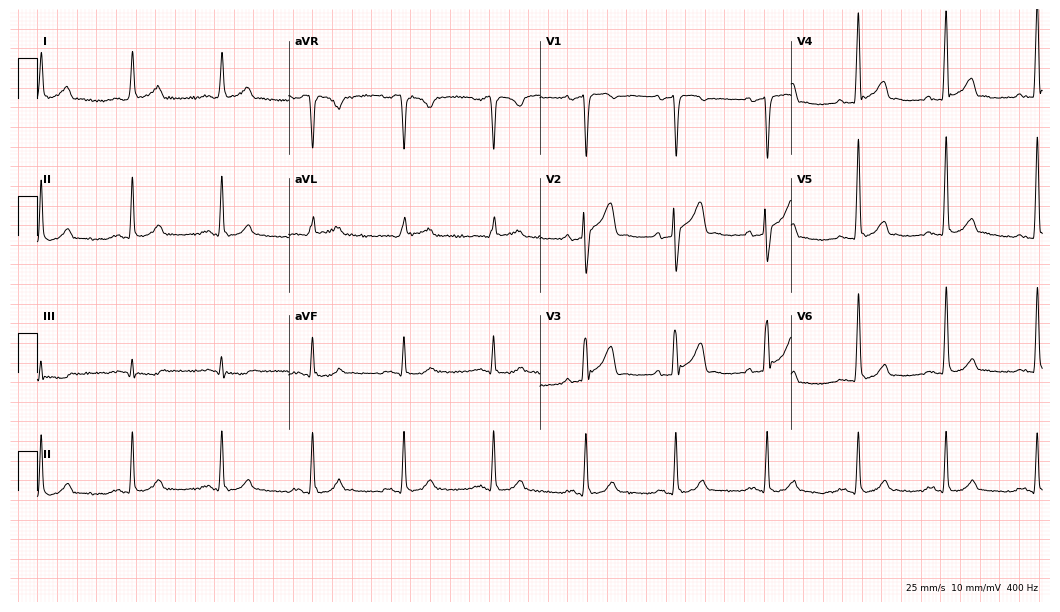
Standard 12-lead ECG recorded from a man, 39 years old. None of these six findings is recorded: first-degree AV block, right bundle branch block (RBBB), left bundle branch block (LBBB), sinus bradycardia, atrial fibrillation (AF), sinus tachycardia. Other findings, if any, are not listed.